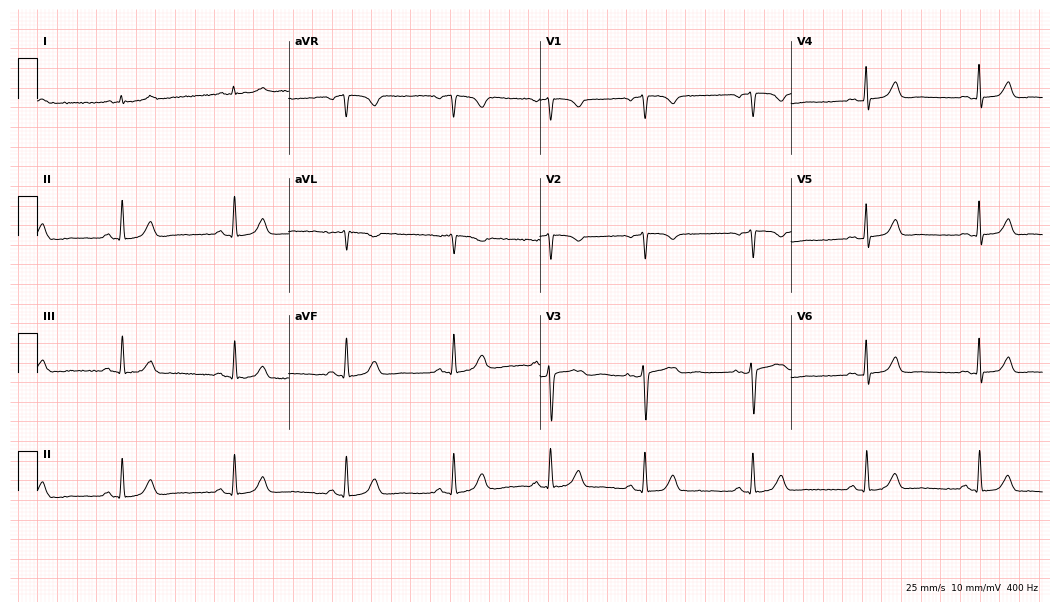
Electrocardiogram (10.2-second recording at 400 Hz), a female patient, 51 years old. Overall reading on record: normal ECG.